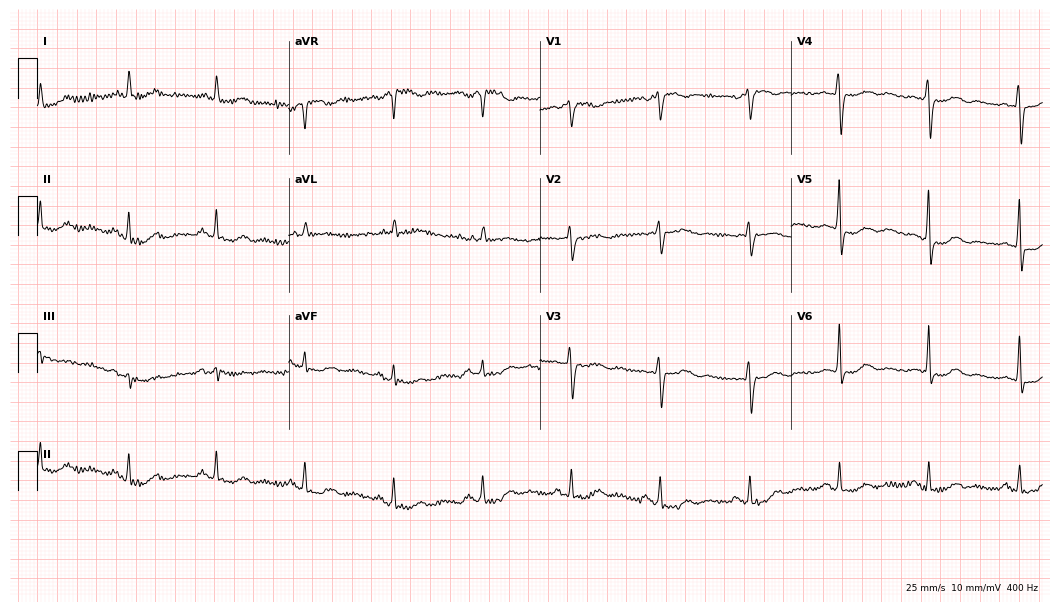
12-lead ECG from a female, 66 years old. Screened for six findings — first-degree AV block, right bundle branch block, left bundle branch block, sinus bradycardia, atrial fibrillation, sinus tachycardia — none is recorded. Findings outside these six are not listed.